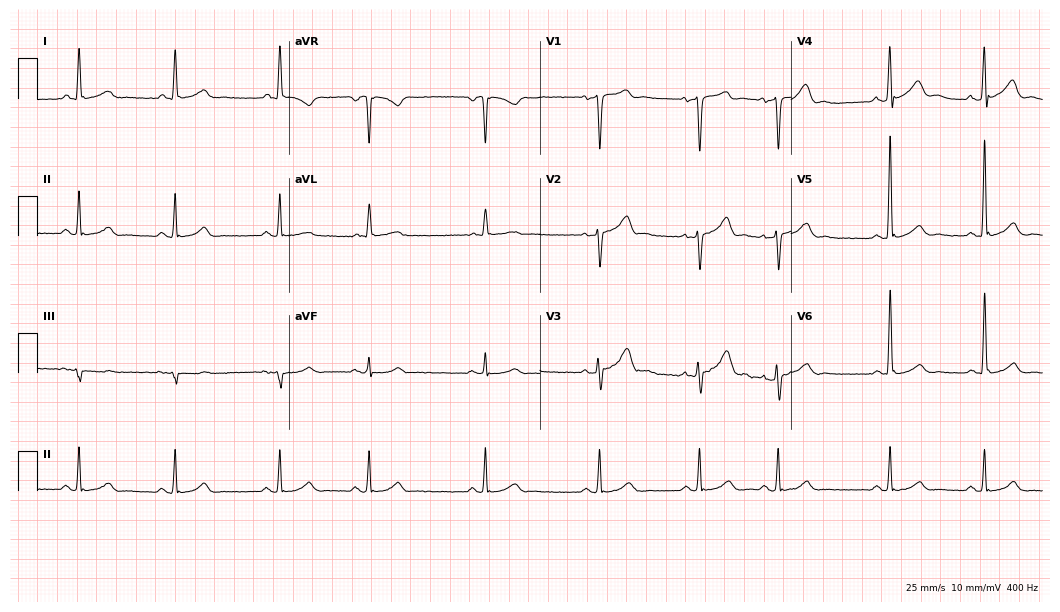
ECG — a 63-year-old man. Screened for six findings — first-degree AV block, right bundle branch block, left bundle branch block, sinus bradycardia, atrial fibrillation, sinus tachycardia — none is recorded. Findings outside these six are not listed.